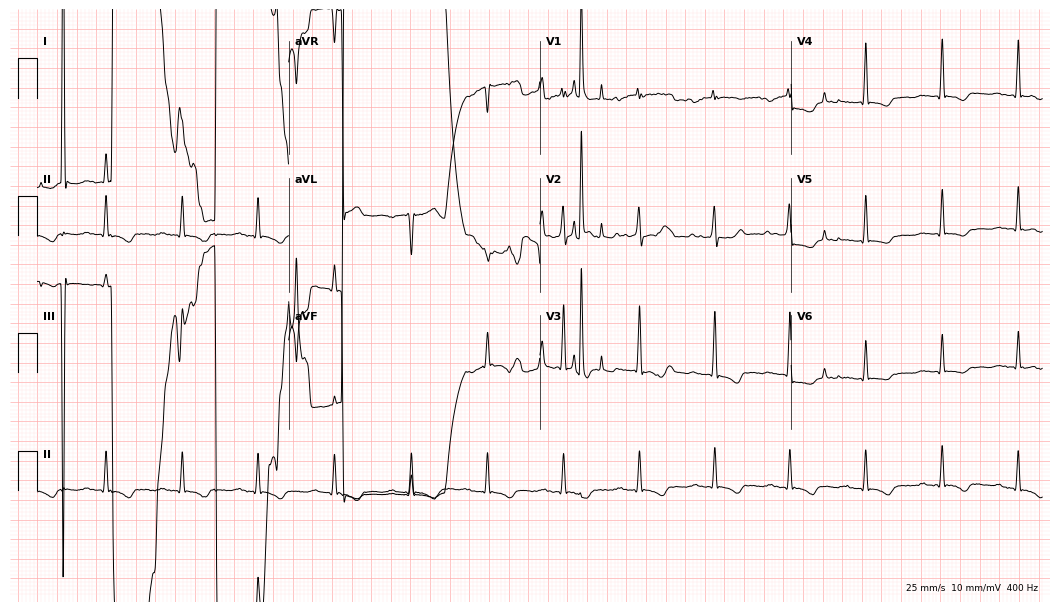
12-lead ECG from a 50-year-old male patient. Screened for six findings — first-degree AV block, right bundle branch block (RBBB), left bundle branch block (LBBB), sinus bradycardia, atrial fibrillation (AF), sinus tachycardia — none is recorded.